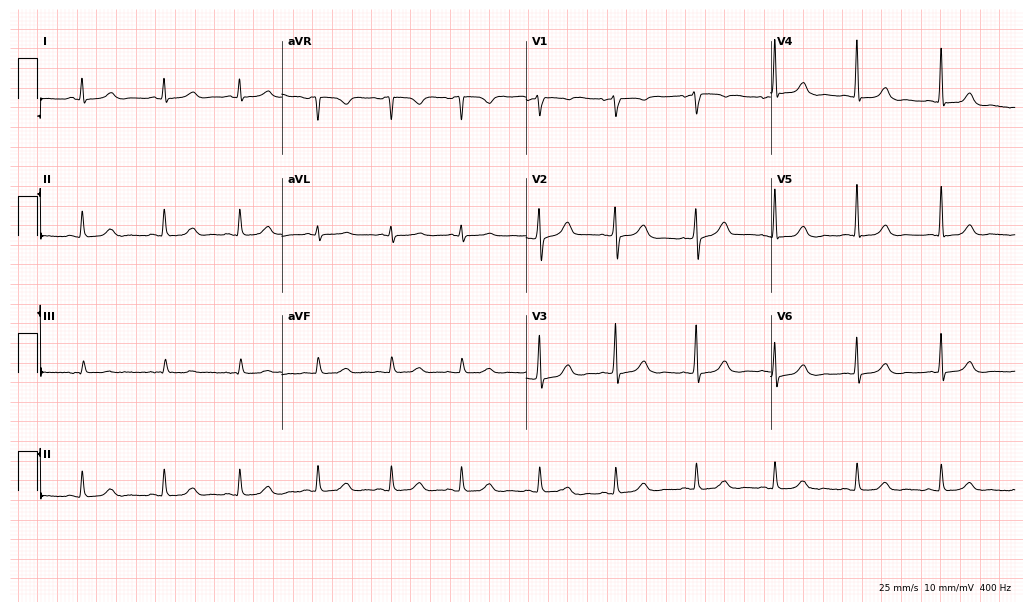
12-lead ECG from a 35-year-old female patient. Recorded interpretation: within normal limits.